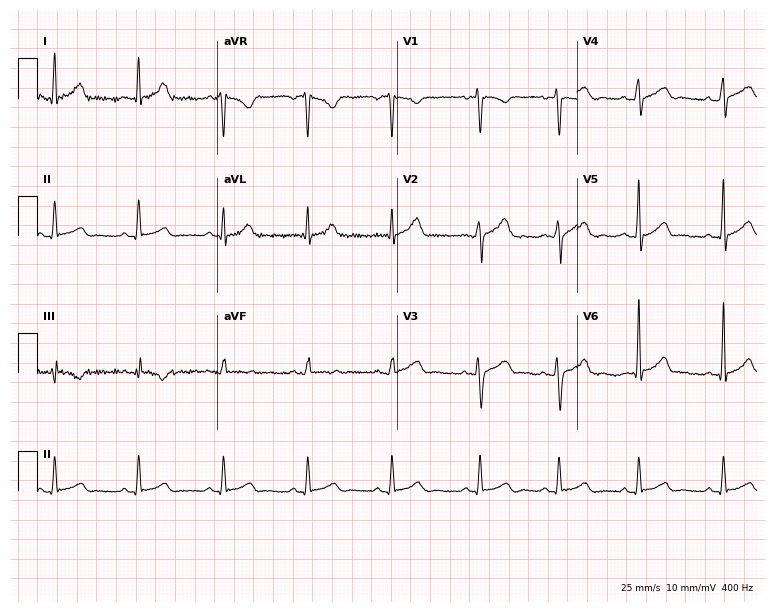
Electrocardiogram (7.3-second recording at 400 Hz), a man, 36 years old. Overall reading on record: normal ECG.